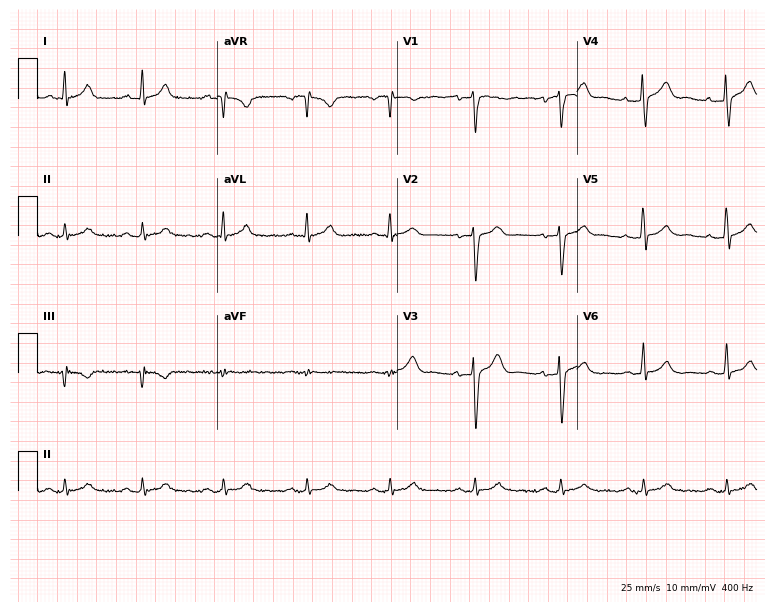
Standard 12-lead ECG recorded from a 42-year-old man (7.3-second recording at 400 Hz). None of these six findings is recorded: first-degree AV block, right bundle branch block (RBBB), left bundle branch block (LBBB), sinus bradycardia, atrial fibrillation (AF), sinus tachycardia.